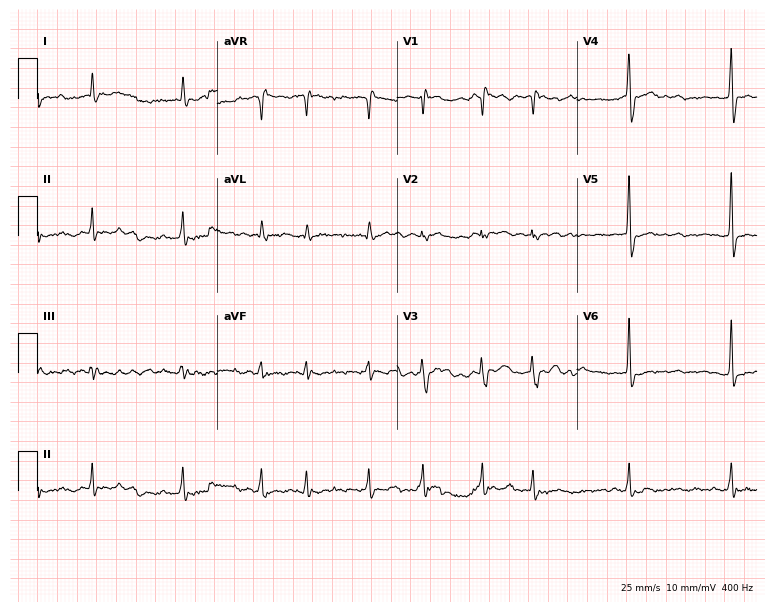
Resting 12-lead electrocardiogram. Patient: a 56-year-old male. The tracing shows atrial fibrillation.